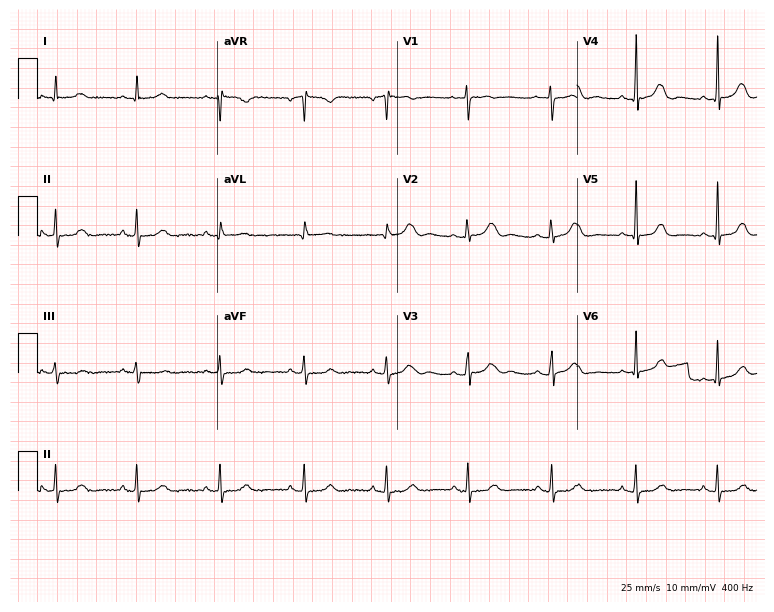
ECG (7.3-second recording at 400 Hz) — a woman, 33 years old. Labelled as a normal ECG.